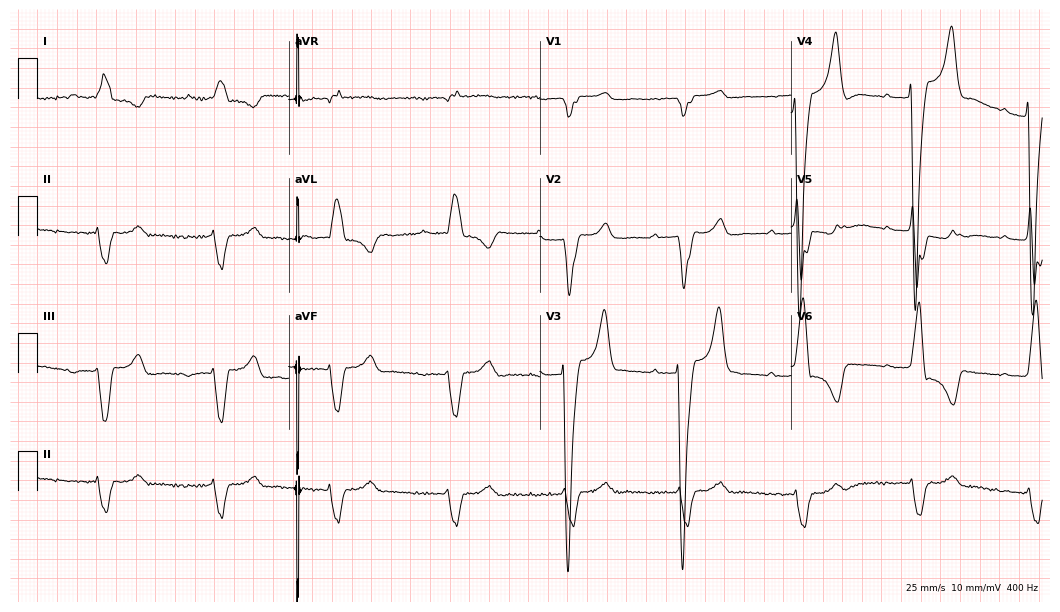
ECG — a male, 67 years old. Findings include first-degree AV block, left bundle branch block (LBBB).